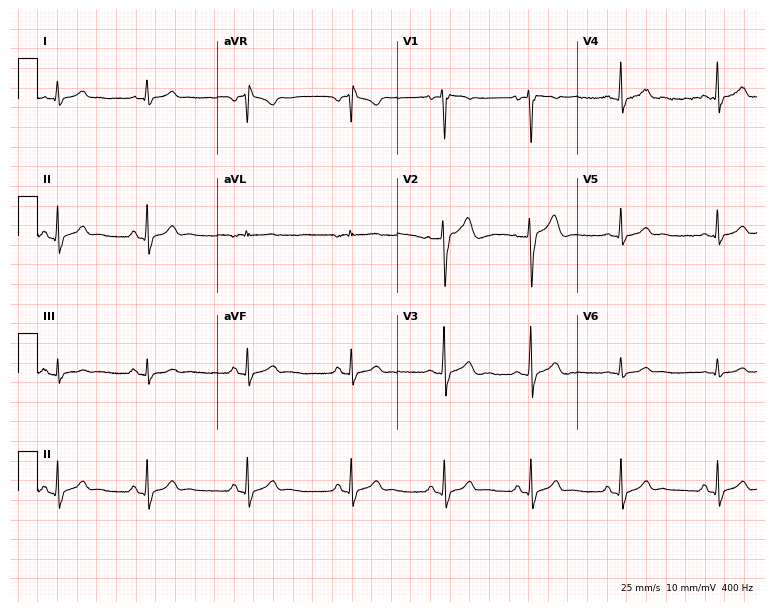
ECG (7.3-second recording at 400 Hz) — a 21-year-old male. Labelled as a normal ECG.